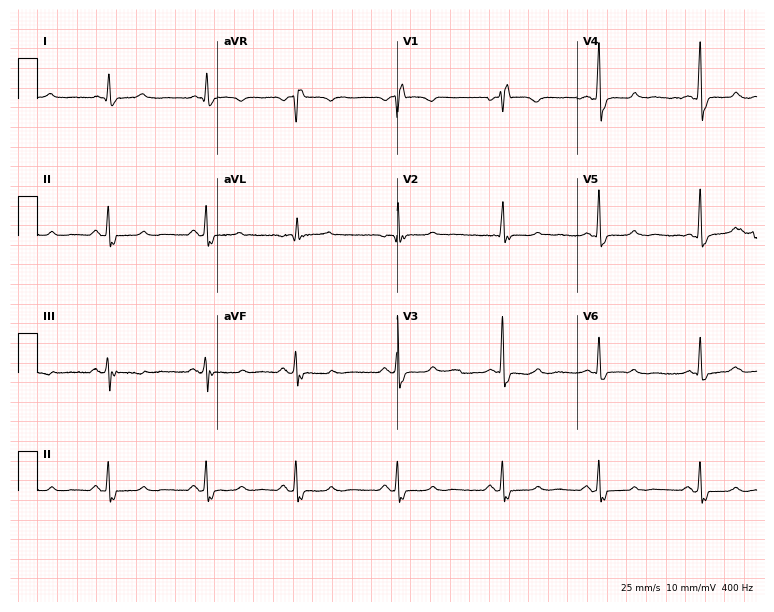
12-lead ECG (7.3-second recording at 400 Hz) from a 61-year-old female patient. Findings include right bundle branch block (RBBB).